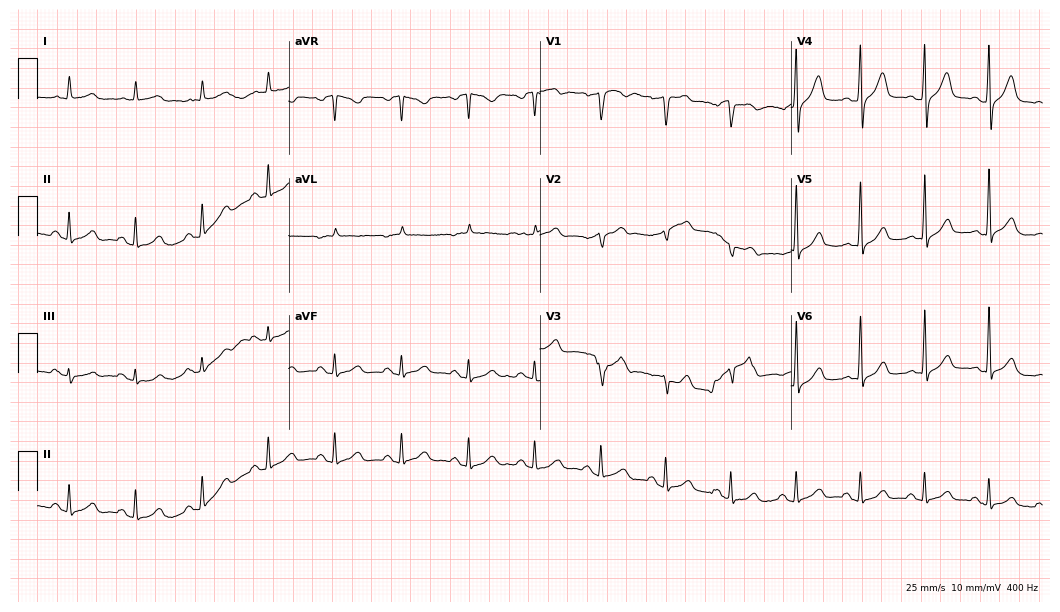
Resting 12-lead electrocardiogram. Patient: a 67-year-old male. Read as a normal ECG.